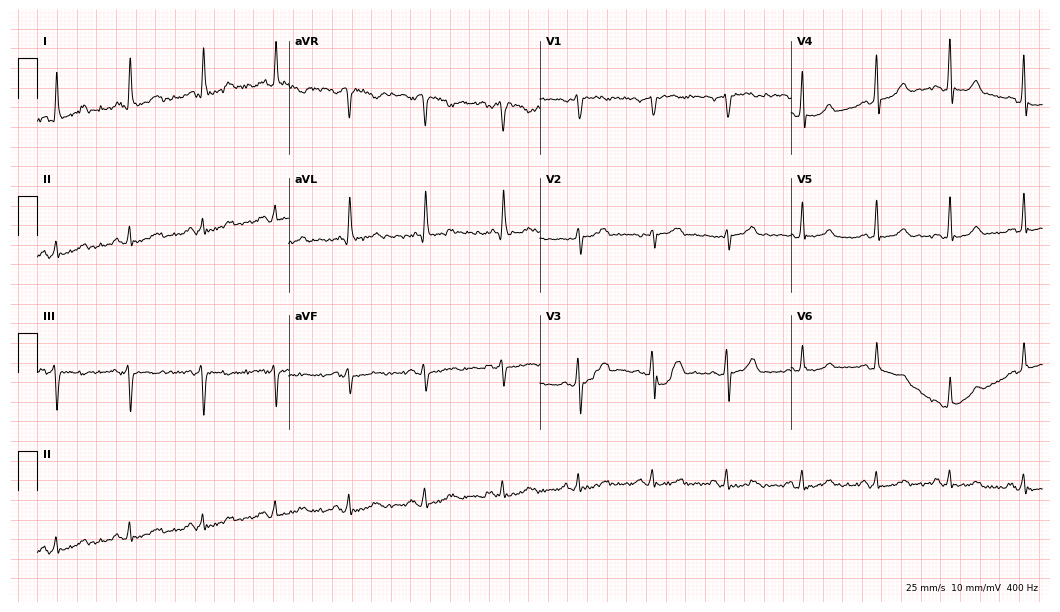
12-lead ECG (10.2-second recording at 400 Hz) from a 53-year-old woman. Labelled as a normal ECG.